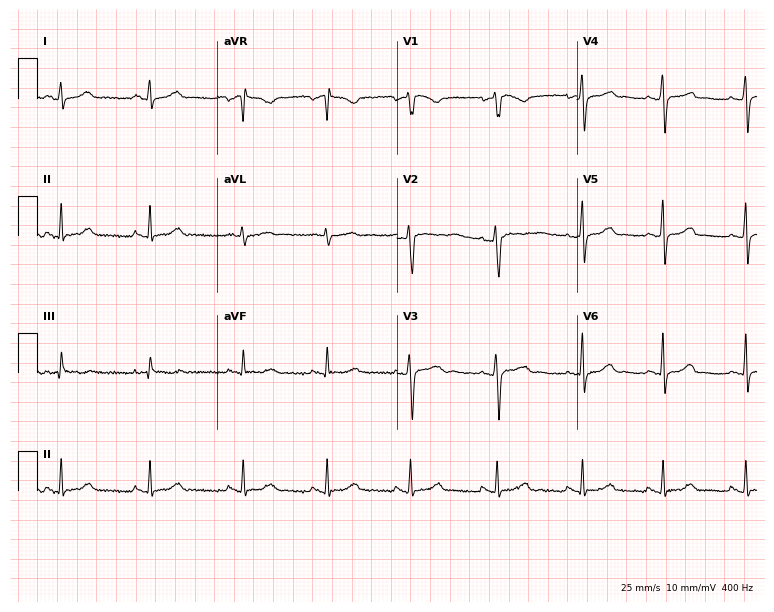
ECG (7.3-second recording at 400 Hz) — a 32-year-old female. Labelled as a normal ECG.